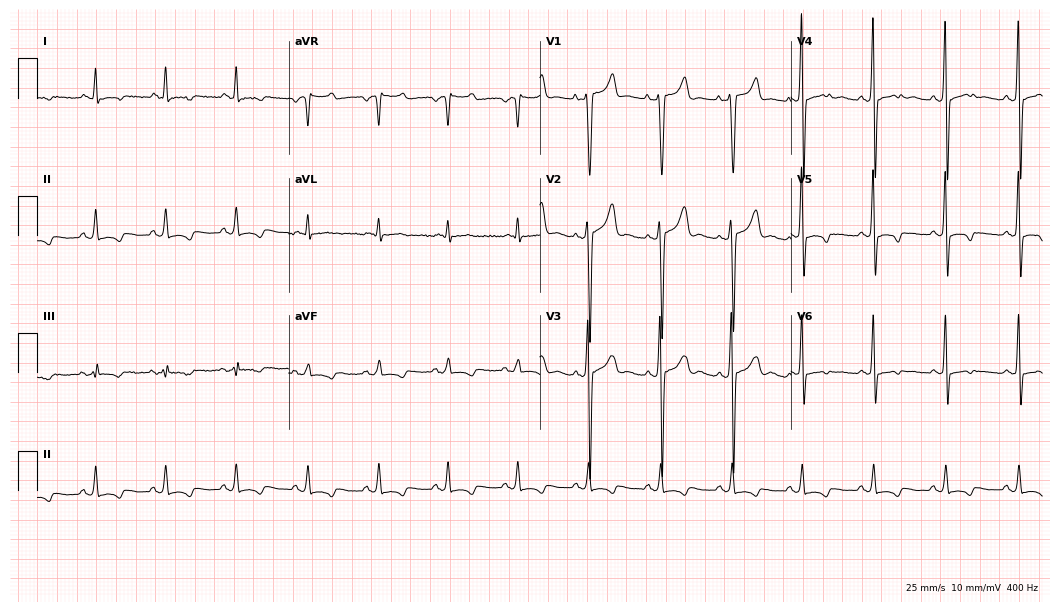
Resting 12-lead electrocardiogram (10.2-second recording at 400 Hz). Patient: a male, 36 years old. None of these six findings is recorded: first-degree AV block, right bundle branch block, left bundle branch block, sinus bradycardia, atrial fibrillation, sinus tachycardia.